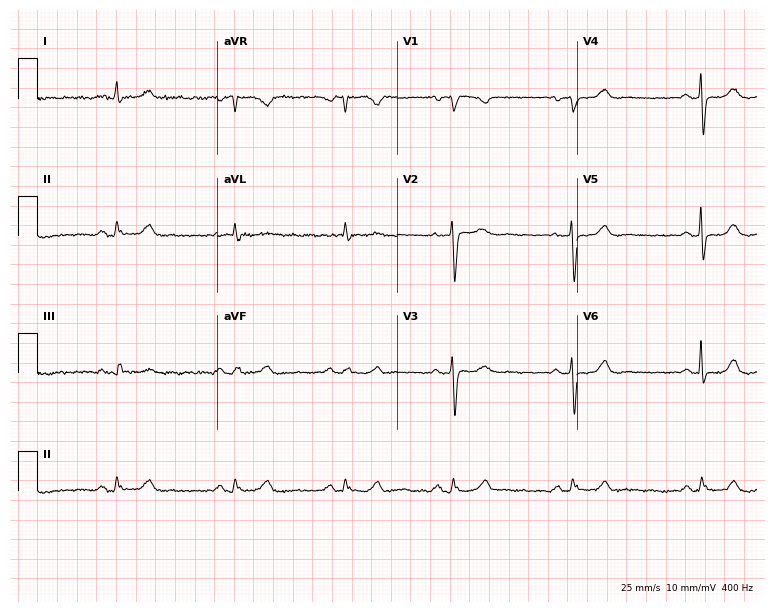
Resting 12-lead electrocardiogram. Patient: a 65-year-old woman. Read as a normal ECG.